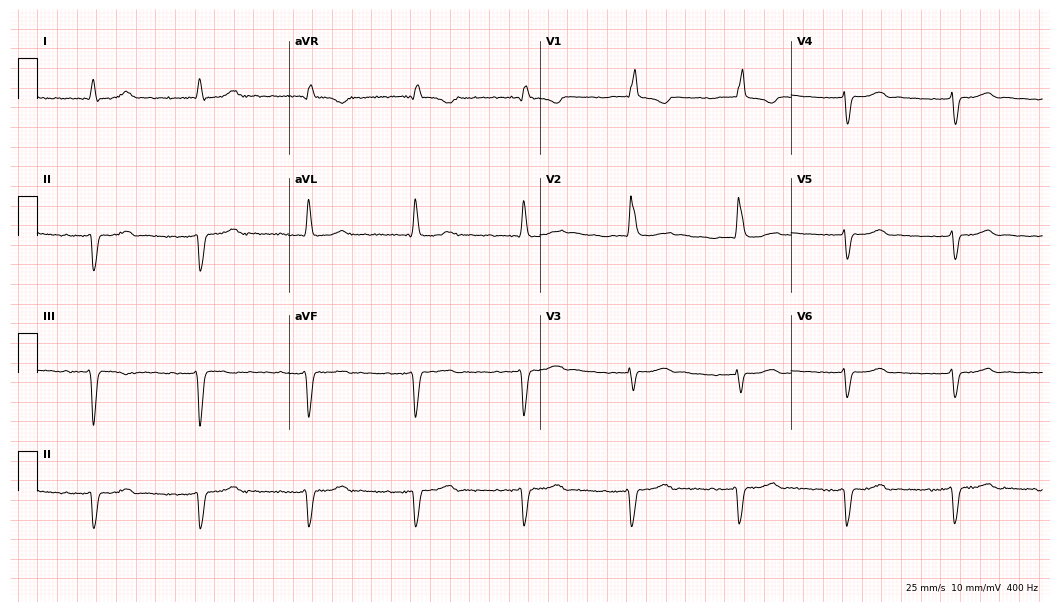
Electrocardiogram, a 49-year-old female patient. Of the six screened findings (first-degree AV block, right bundle branch block, left bundle branch block, sinus bradycardia, atrial fibrillation, sinus tachycardia), none is recorded.